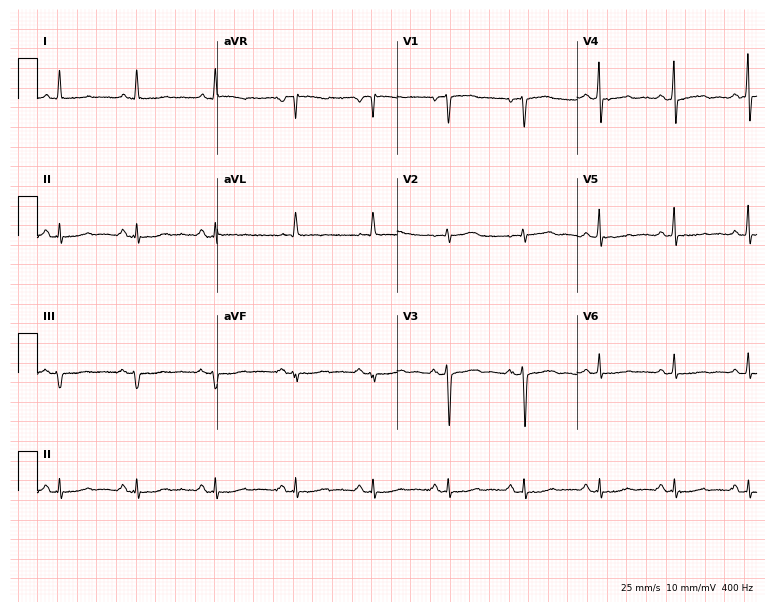
ECG — a 65-year-old female patient. Screened for six findings — first-degree AV block, right bundle branch block, left bundle branch block, sinus bradycardia, atrial fibrillation, sinus tachycardia — none is recorded.